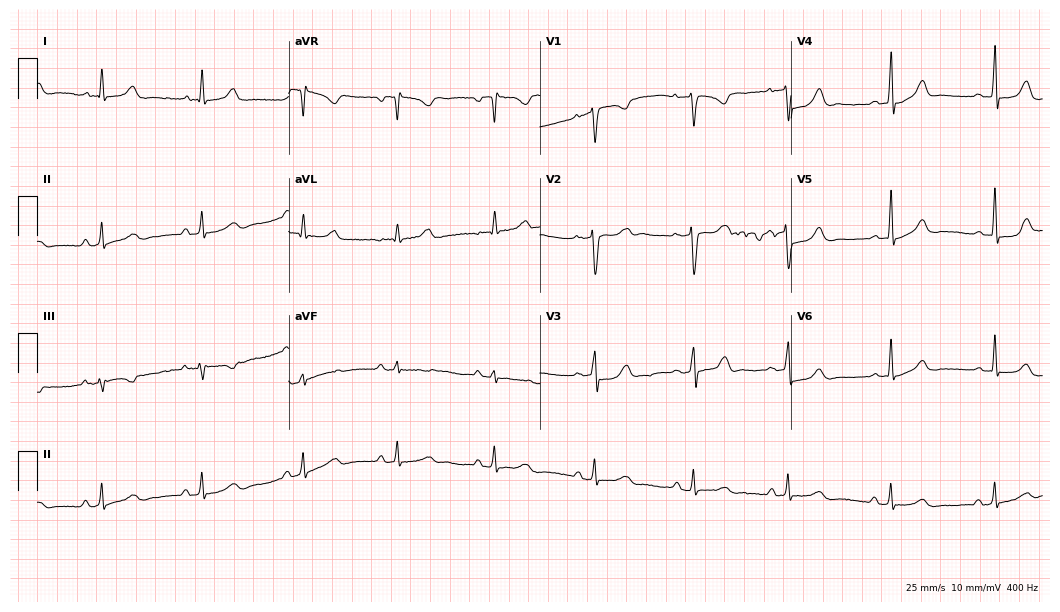
Electrocardiogram, a woman, 32 years old. Of the six screened findings (first-degree AV block, right bundle branch block, left bundle branch block, sinus bradycardia, atrial fibrillation, sinus tachycardia), none is recorded.